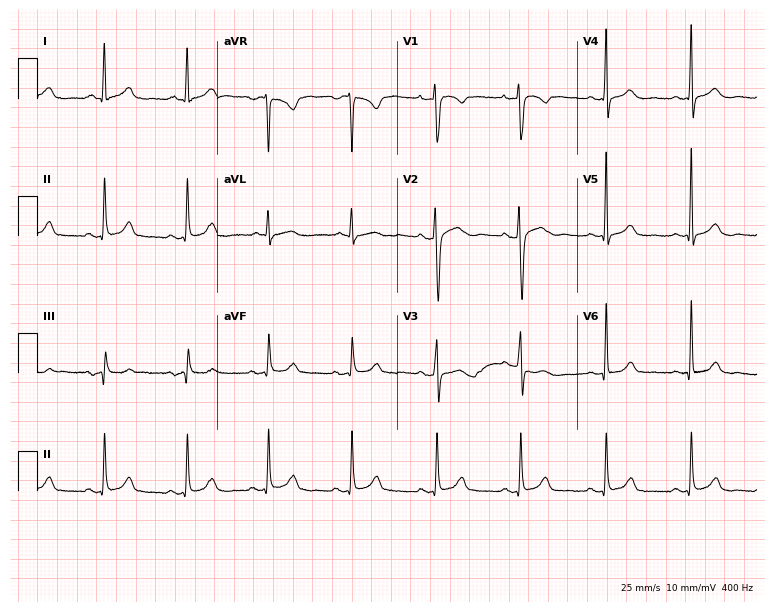
Electrocardiogram, a 35-year-old woman. Overall reading on record: normal ECG.